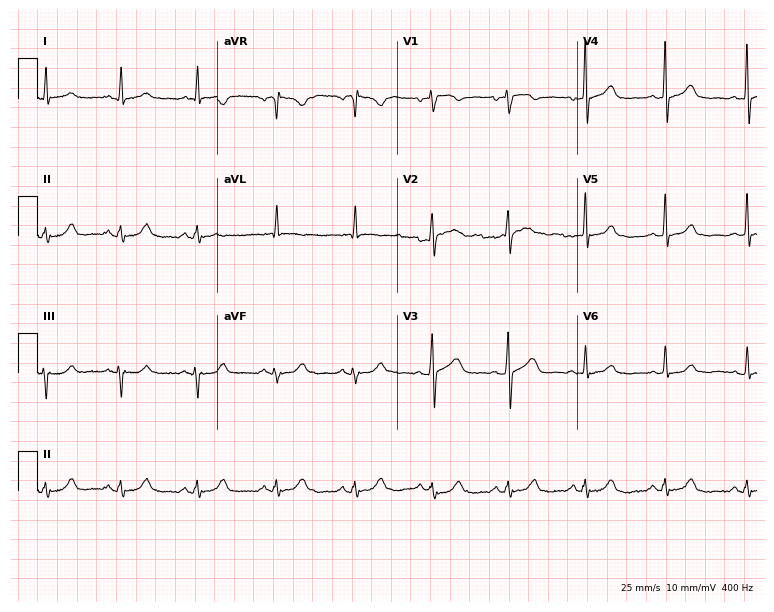
12-lead ECG from a male patient, 55 years old (7.3-second recording at 400 Hz). Recorded interpretation: within normal limits.